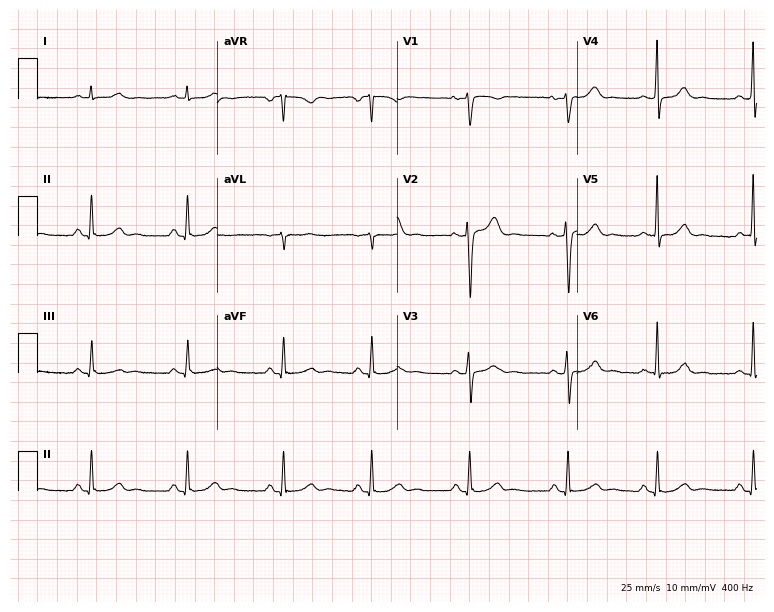
Resting 12-lead electrocardiogram (7.3-second recording at 400 Hz). Patient: a 28-year-old female. Read as a normal ECG.